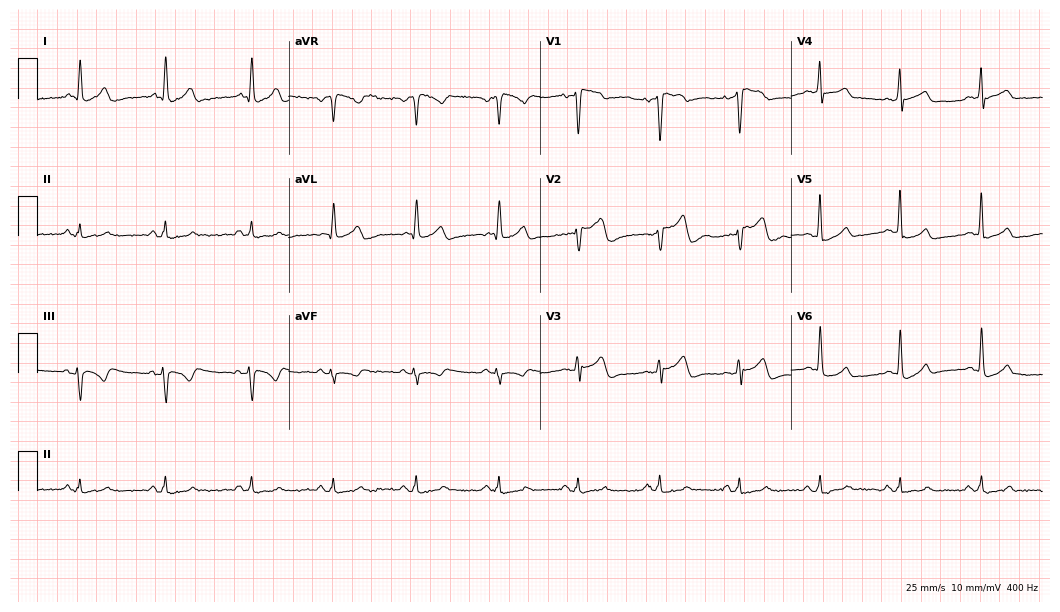
12-lead ECG from a 38-year-old male patient. Screened for six findings — first-degree AV block, right bundle branch block, left bundle branch block, sinus bradycardia, atrial fibrillation, sinus tachycardia — none is recorded.